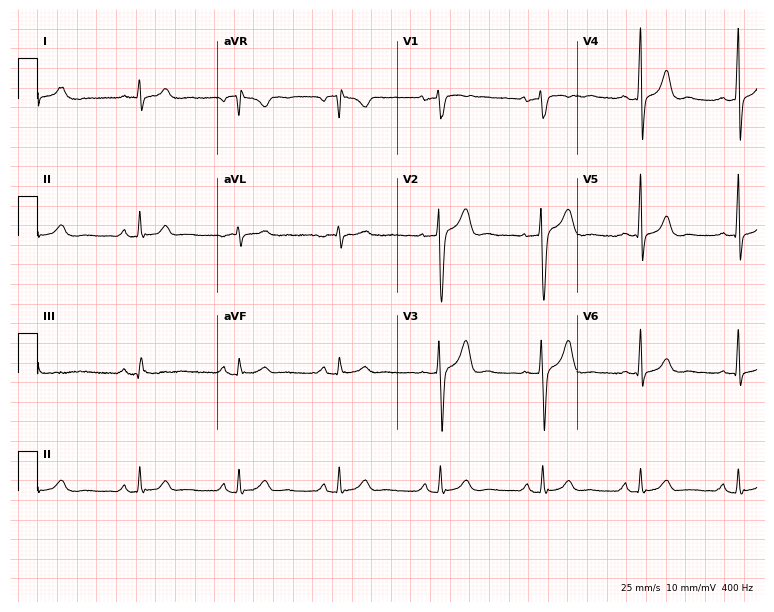
ECG (7.3-second recording at 400 Hz) — a 55-year-old man. Labelled as a normal ECG.